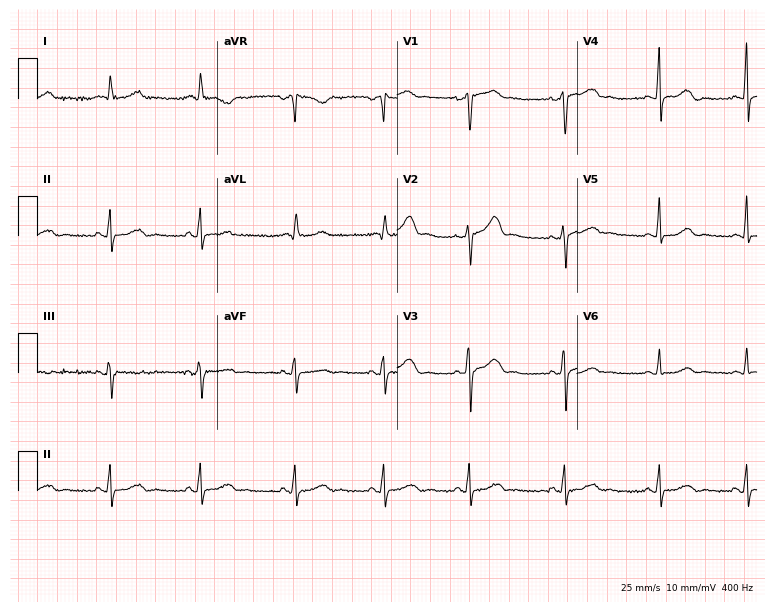
Resting 12-lead electrocardiogram (7.3-second recording at 400 Hz). Patient: a 57-year-old woman. Read as a normal ECG.